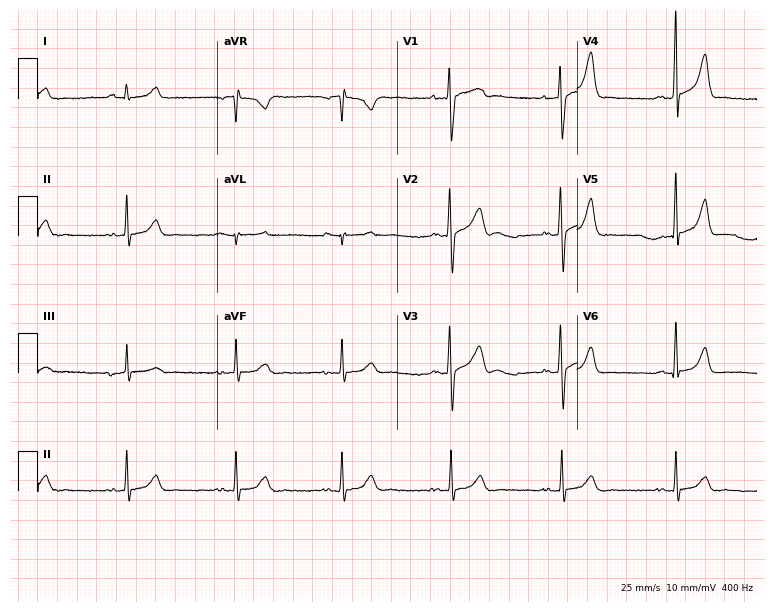
12-lead ECG from a 28-year-old male patient. Recorded interpretation: within normal limits.